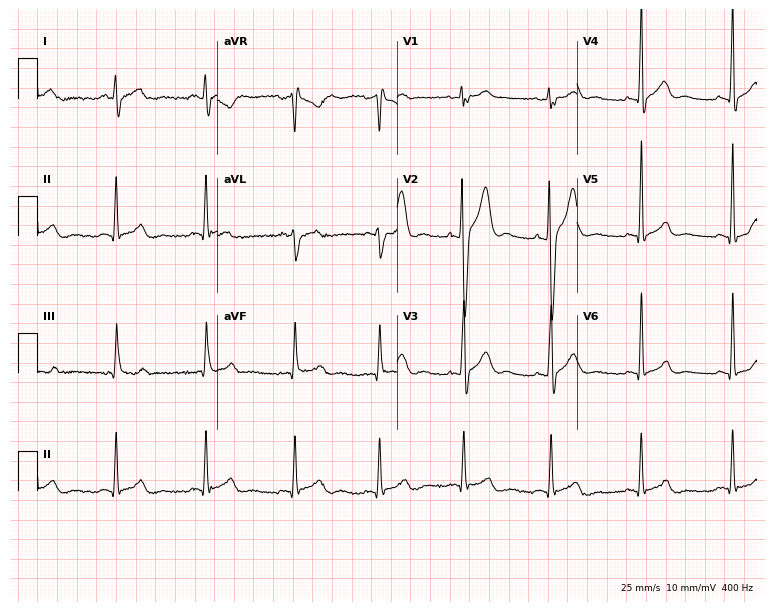
12-lead ECG from a 30-year-old man. Screened for six findings — first-degree AV block, right bundle branch block, left bundle branch block, sinus bradycardia, atrial fibrillation, sinus tachycardia — none is recorded. Findings outside these six are not listed.